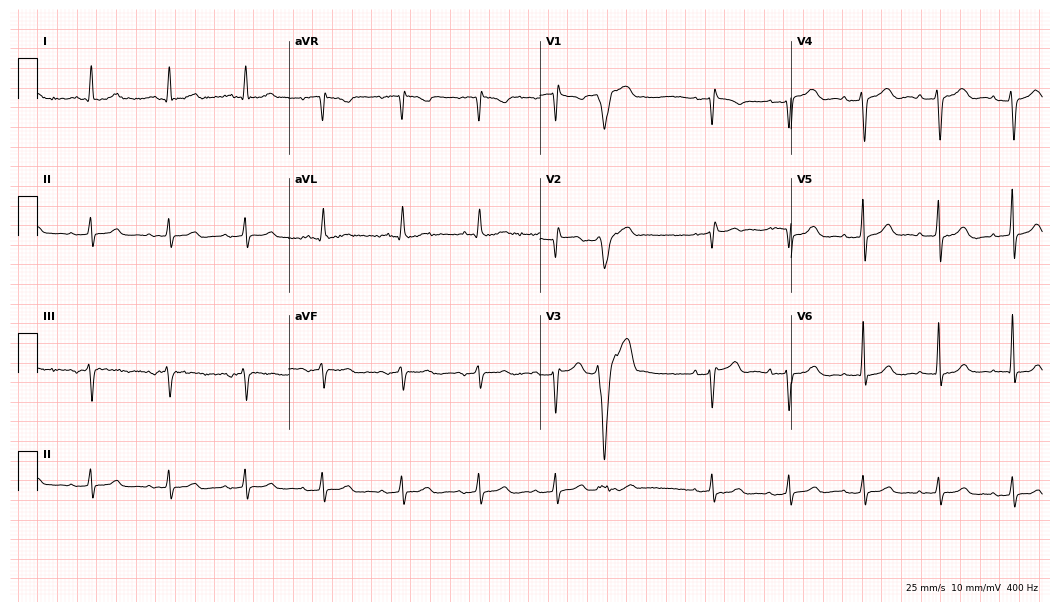
12-lead ECG (10.2-second recording at 400 Hz) from a female, 61 years old. Screened for six findings — first-degree AV block, right bundle branch block, left bundle branch block, sinus bradycardia, atrial fibrillation, sinus tachycardia — none is recorded.